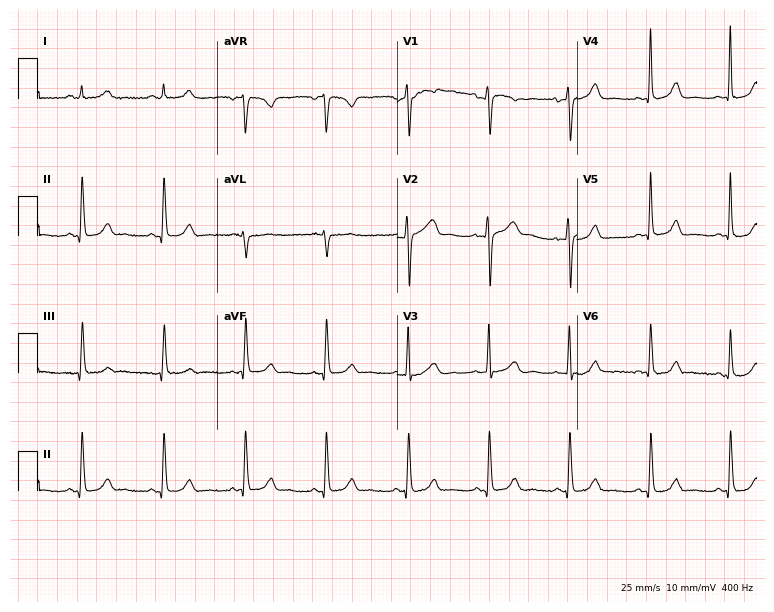
Electrocardiogram (7.3-second recording at 400 Hz), a female, 70 years old. Overall reading on record: normal ECG.